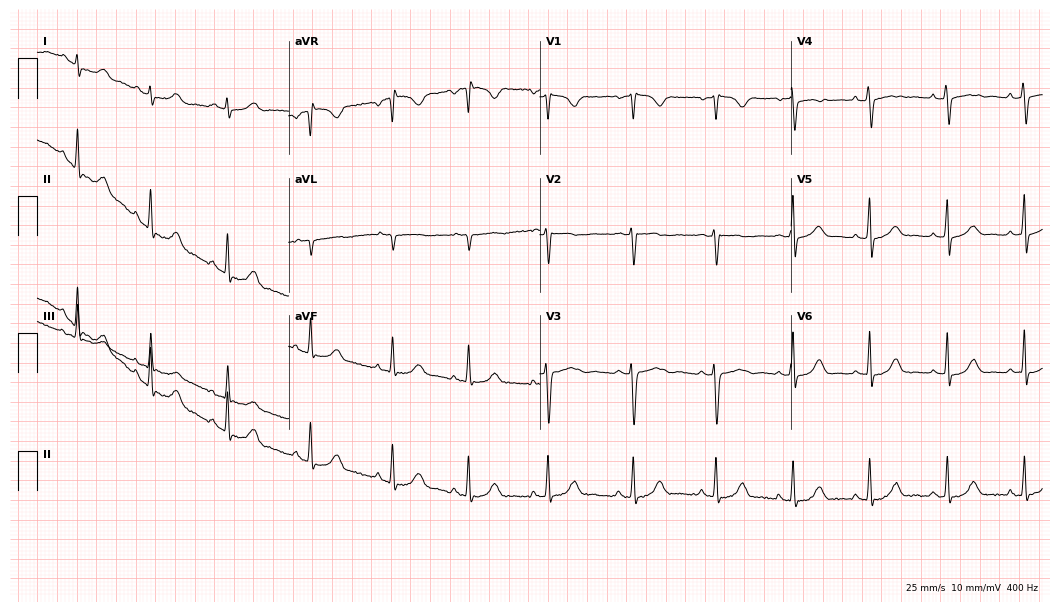
12-lead ECG from a woman, 21 years old. Recorded interpretation: within normal limits.